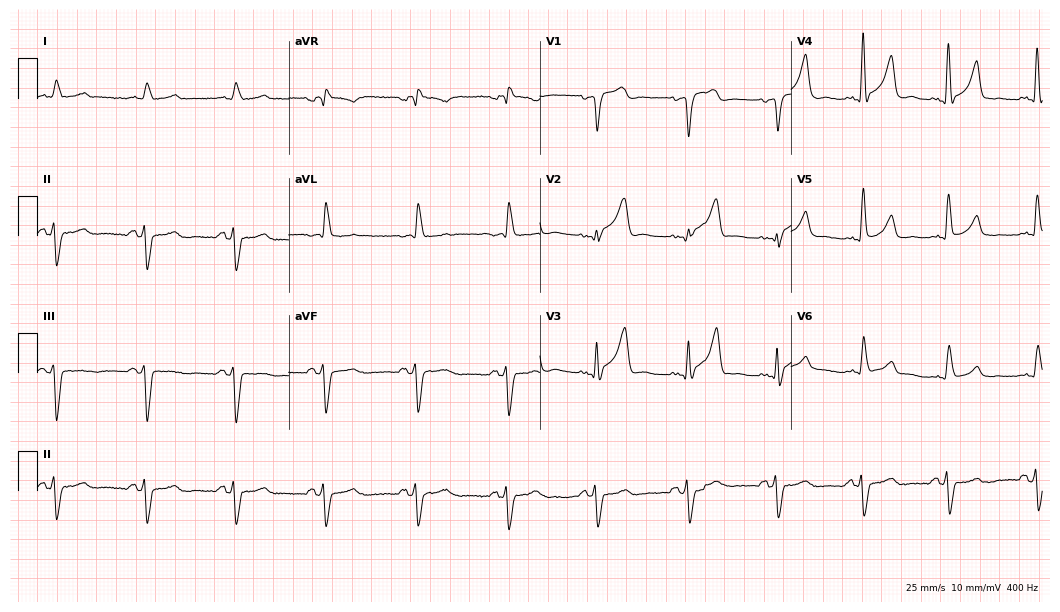
Electrocardiogram, a man, 76 years old. Of the six screened findings (first-degree AV block, right bundle branch block, left bundle branch block, sinus bradycardia, atrial fibrillation, sinus tachycardia), none is recorded. Only these six findings were labelled.